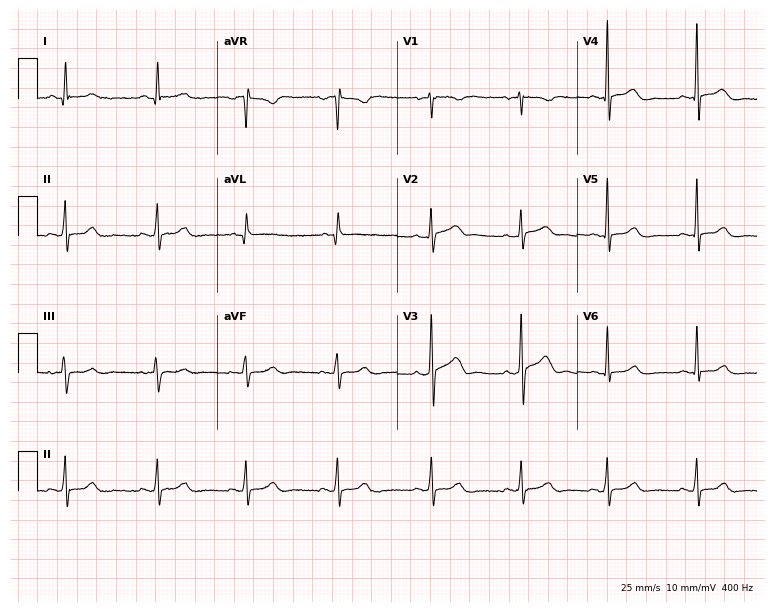
Standard 12-lead ECG recorded from a female, 34 years old (7.3-second recording at 400 Hz). Read as a normal ECG.